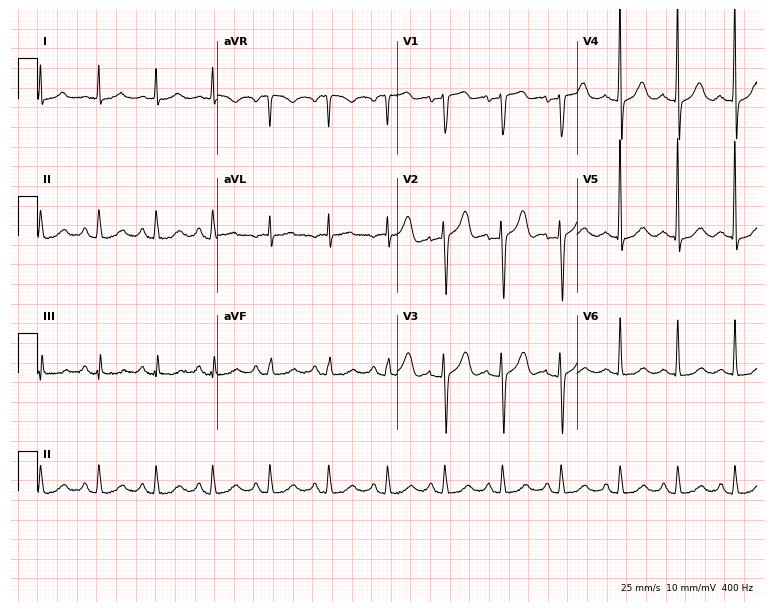
12-lead ECG (7.3-second recording at 400 Hz) from a female, 60 years old. Findings include sinus tachycardia (a sinus rate of 100 beats per minute or more).